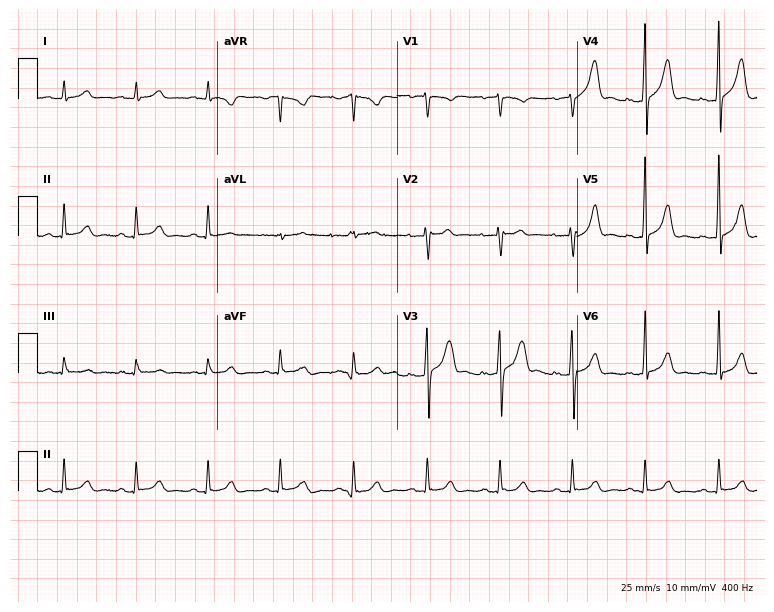
Standard 12-lead ECG recorded from a male, 43 years old. Read as a normal ECG.